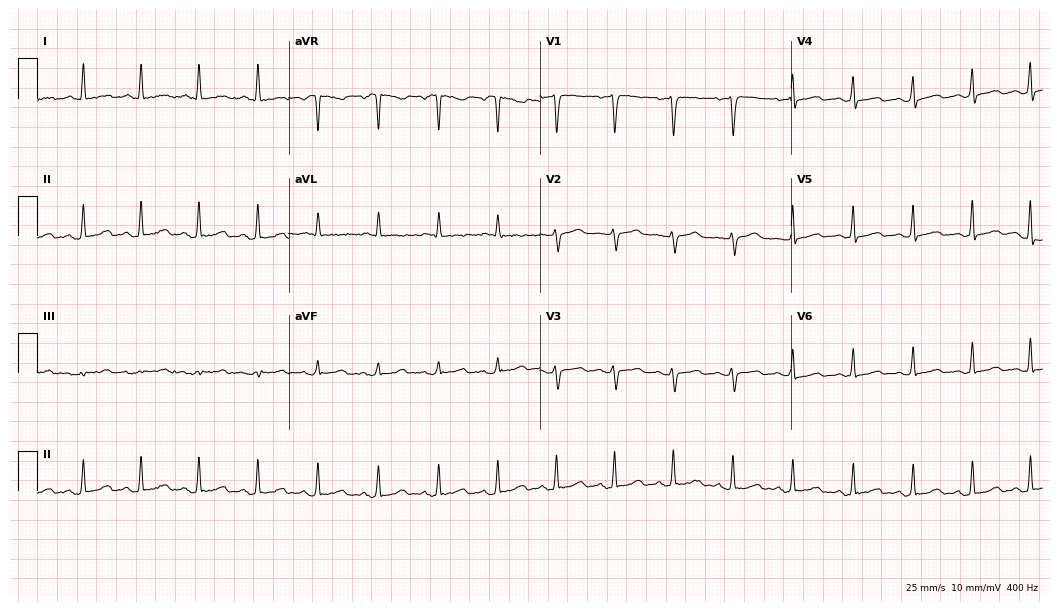
Standard 12-lead ECG recorded from a 56-year-old female patient. None of these six findings is recorded: first-degree AV block, right bundle branch block, left bundle branch block, sinus bradycardia, atrial fibrillation, sinus tachycardia. Only these six findings were labelled.